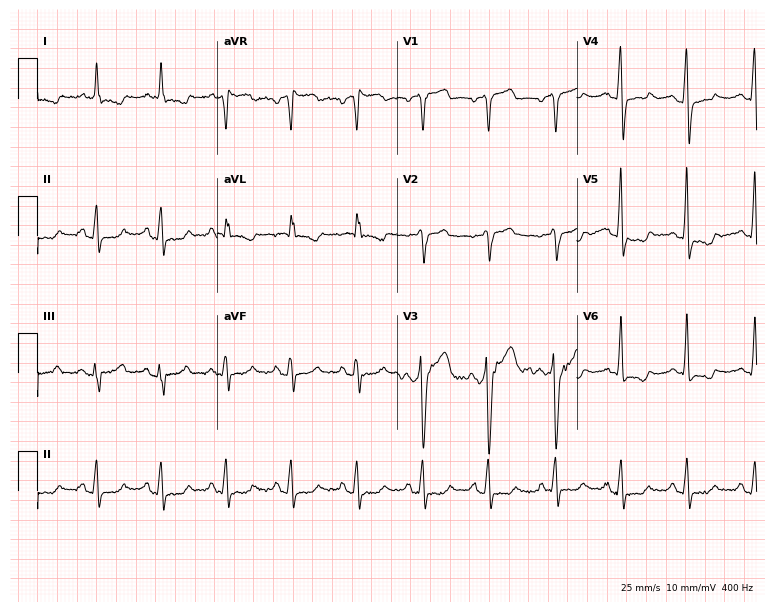
Standard 12-lead ECG recorded from a woman, 82 years old (7.3-second recording at 400 Hz). None of these six findings is recorded: first-degree AV block, right bundle branch block (RBBB), left bundle branch block (LBBB), sinus bradycardia, atrial fibrillation (AF), sinus tachycardia.